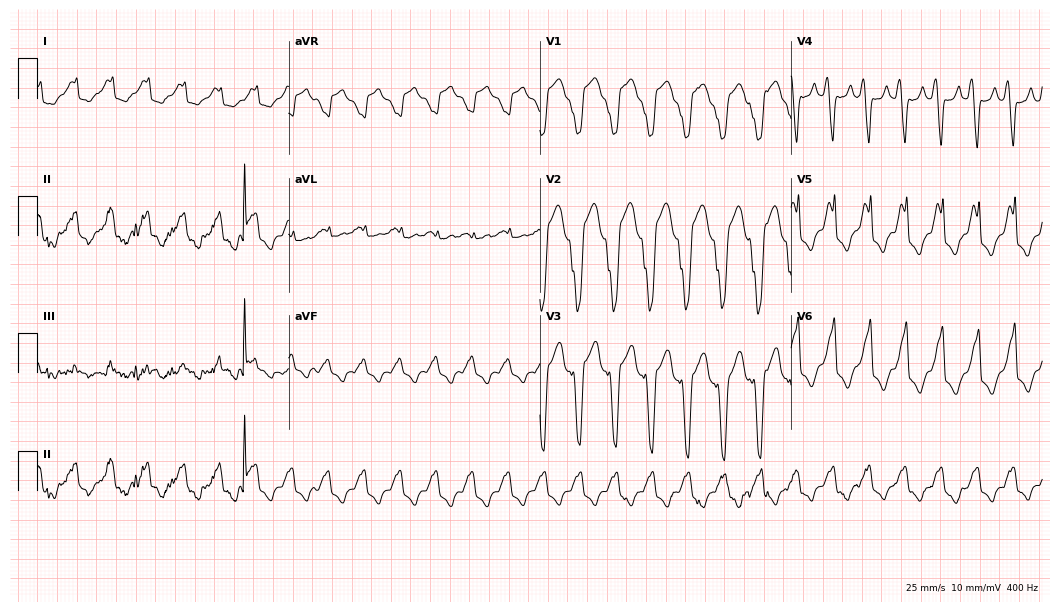
12-lead ECG from a male, 83 years old. Screened for six findings — first-degree AV block, right bundle branch block, left bundle branch block, sinus bradycardia, atrial fibrillation, sinus tachycardia — none is recorded. Findings outside these six are not listed.